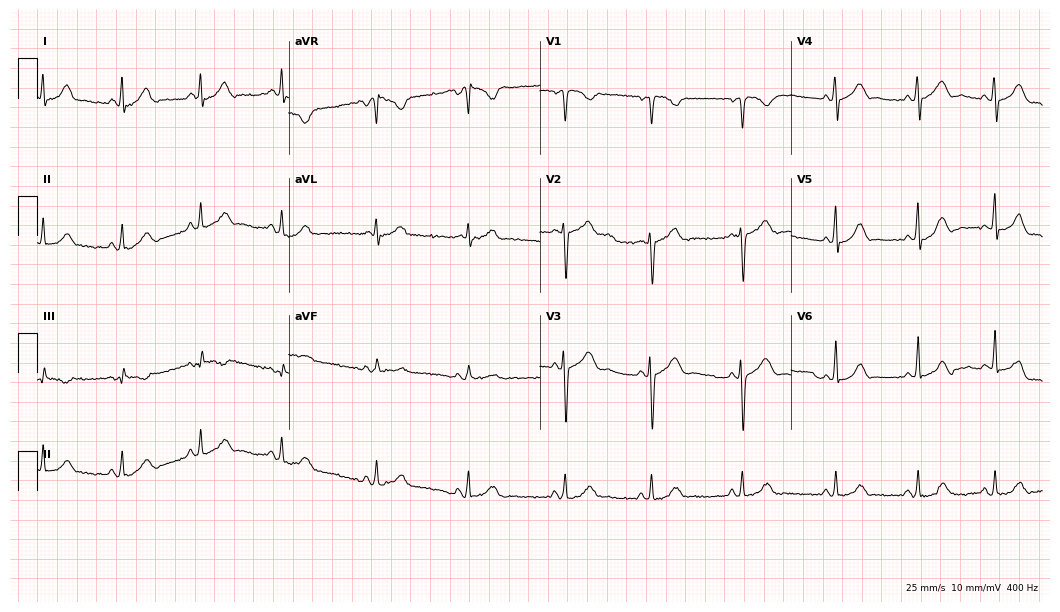
Resting 12-lead electrocardiogram (10.2-second recording at 400 Hz). Patient: a 33-year-old female. Read as a normal ECG.